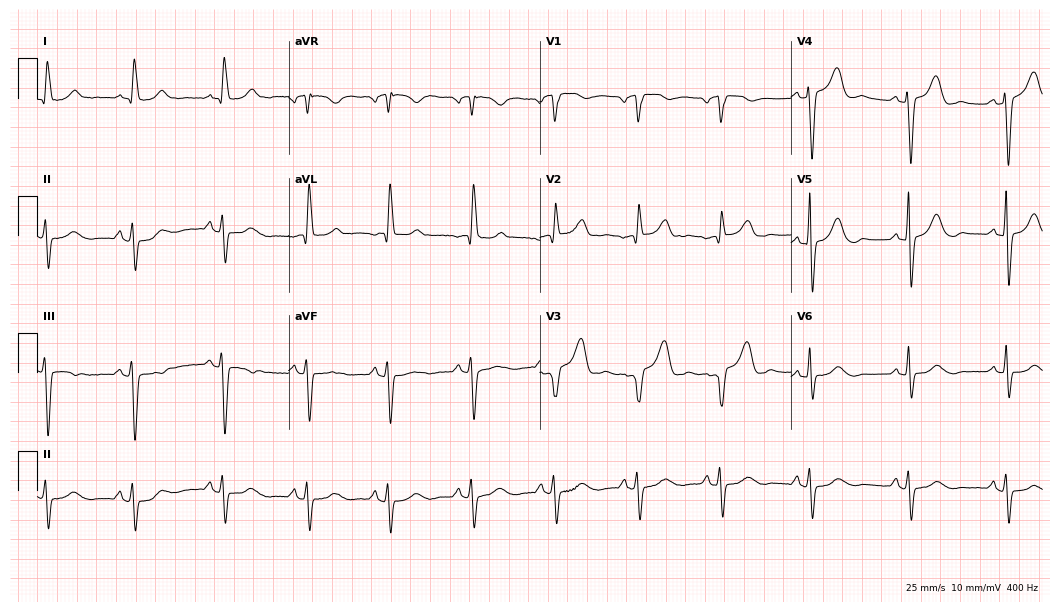
12-lead ECG from an 82-year-old female patient (10.2-second recording at 400 Hz). No first-degree AV block, right bundle branch block (RBBB), left bundle branch block (LBBB), sinus bradycardia, atrial fibrillation (AF) or sinus tachycardia recorded for this tracing. Findings outside these six are not listed.